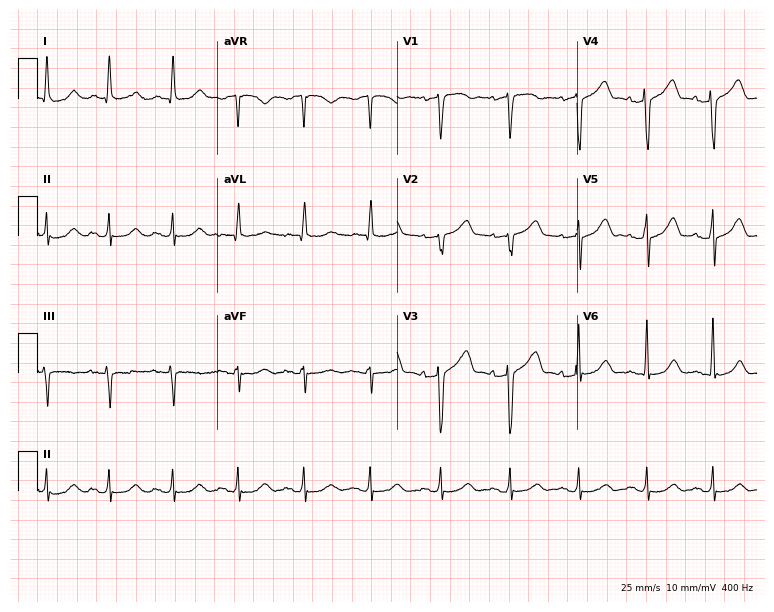
Standard 12-lead ECG recorded from a man, 82 years old. None of these six findings is recorded: first-degree AV block, right bundle branch block (RBBB), left bundle branch block (LBBB), sinus bradycardia, atrial fibrillation (AF), sinus tachycardia.